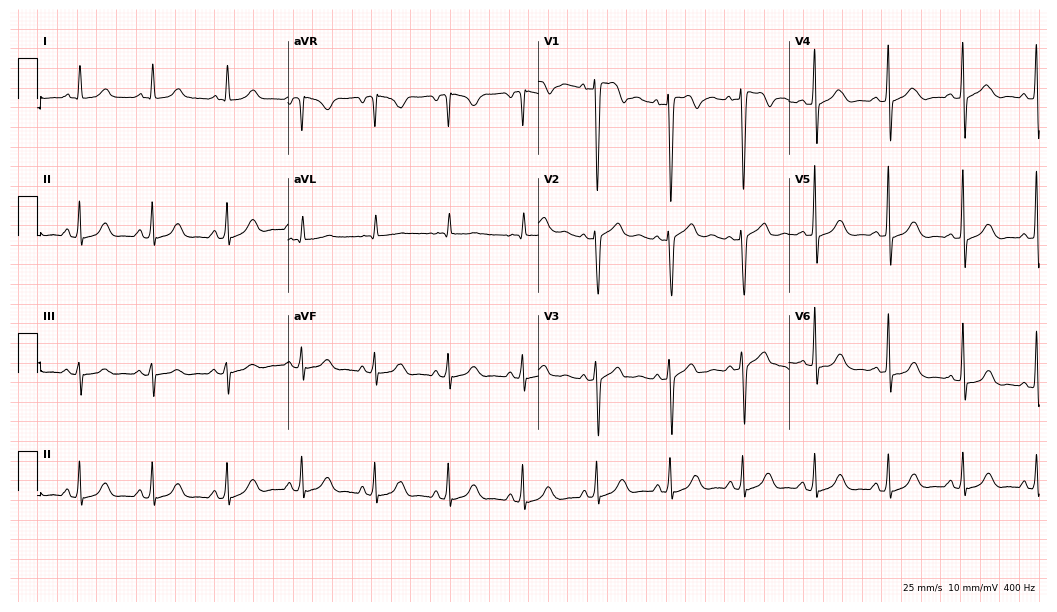
Standard 12-lead ECG recorded from a 66-year-old woman. Read as a normal ECG.